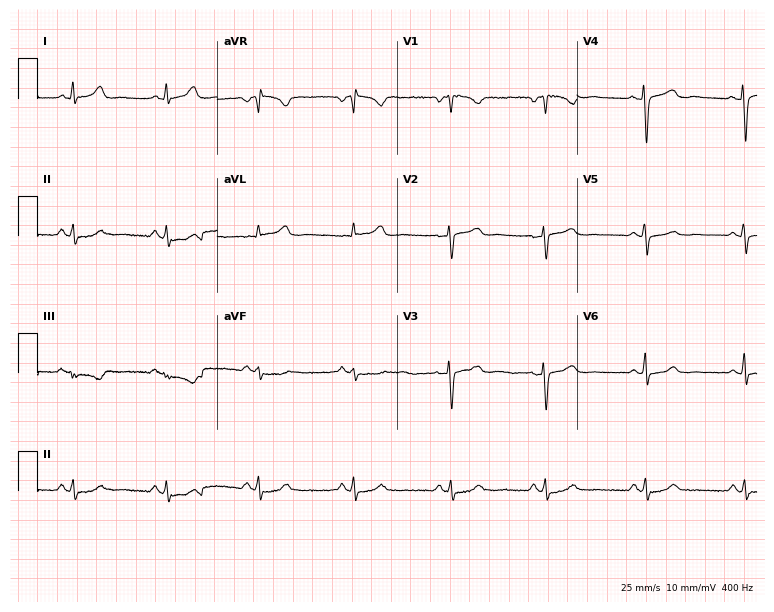
12-lead ECG from a female, 35 years old. No first-degree AV block, right bundle branch block, left bundle branch block, sinus bradycardia, atrial fibrillation or sinus tachycardia recorded for this tracing. Findings outside these six are not listed.